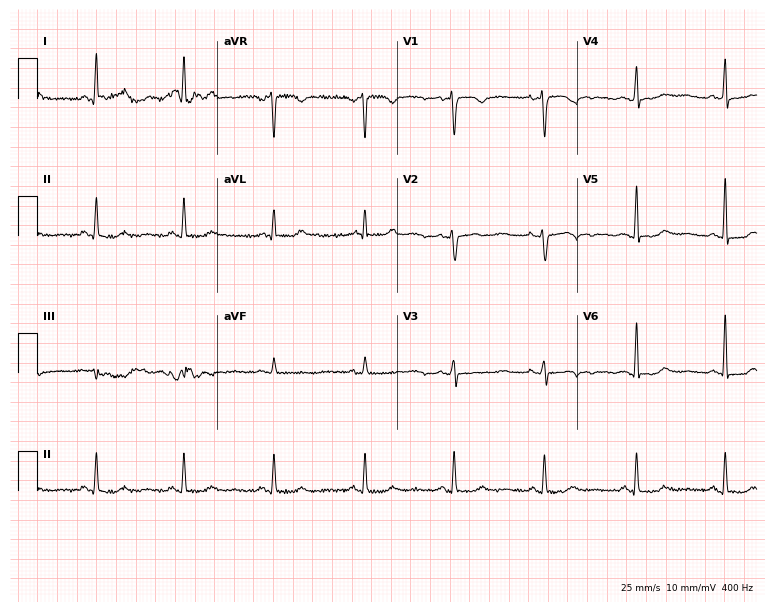
Electrocardiogram, a female, 49 years old. Of the six screened findings (first-degree AV block, right bundle branch block, left bundle branch block, sinus bradycardia, atrial fibrillation, sinus tachycardia), none is recorded. Only these six findings were labelled.